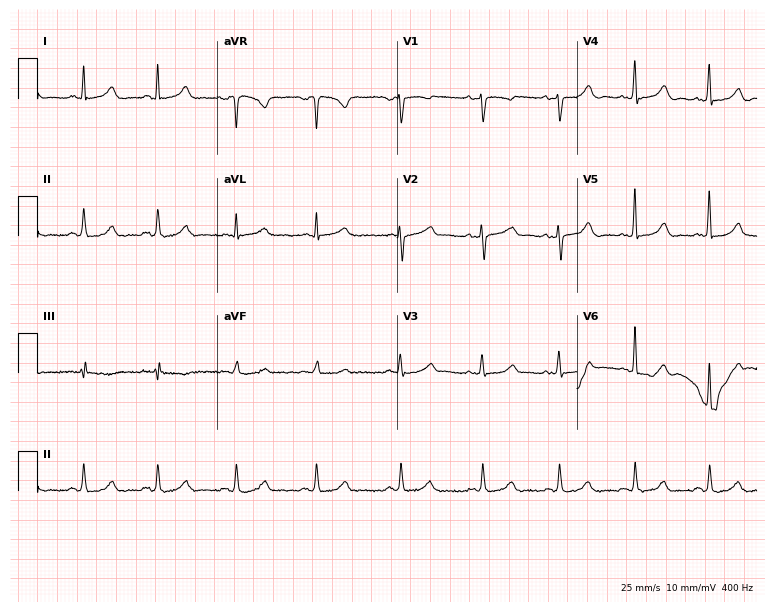
12-lead ECG from a female patient, 41 years old. Recorded interpretation: within normal limits.